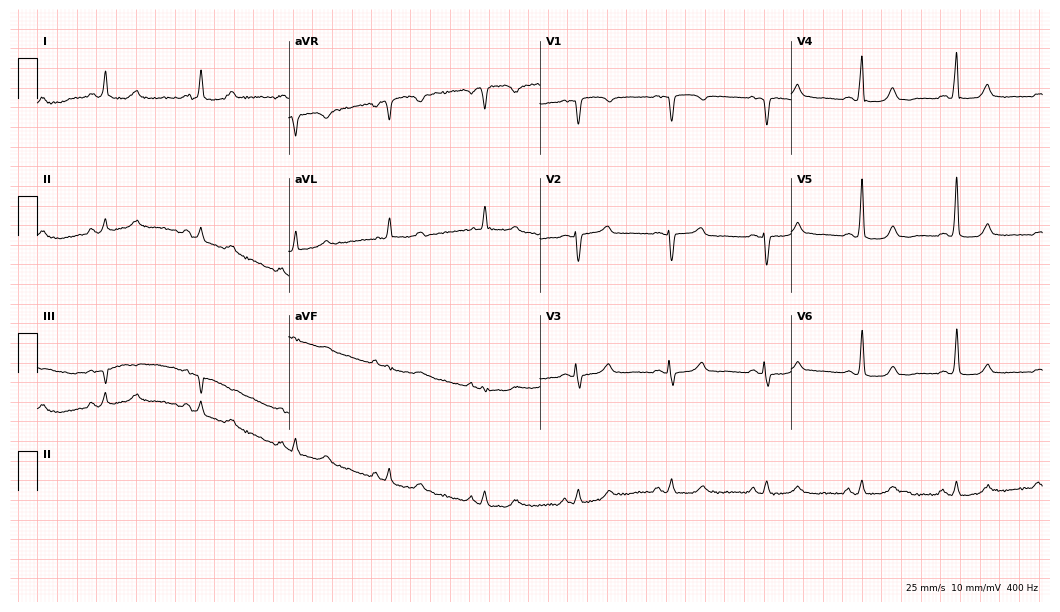
ECG — a female, 76 years old. Labelled as a normal ECG.